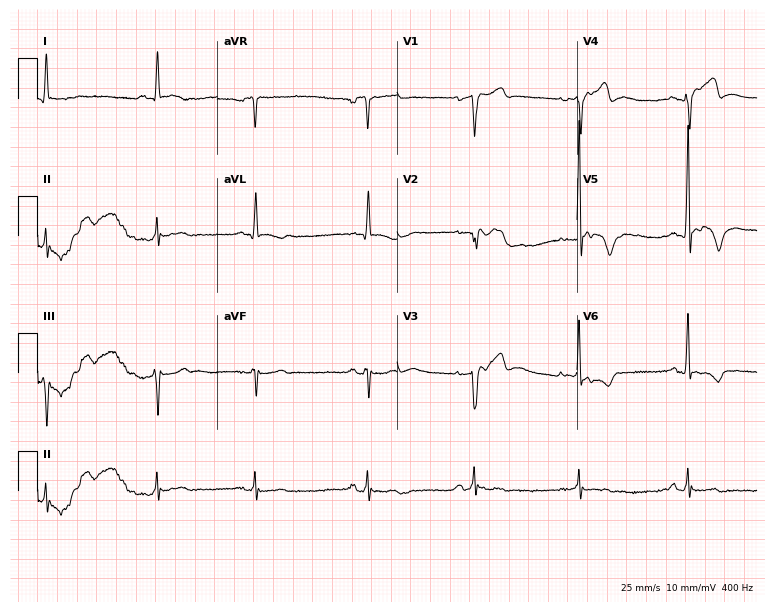
Electrocardiogram (7.3-second recording at 400 Hz), a male patient, 78 years old. Of the six screened findings (first-degree AV block, right bundle branch block (RBBB), left bundle branch block (LBBB), sinus bradycardia, atrial fibrillation (AF), sinus tachycardia), none is recorded. Findings outside these six are not listed.